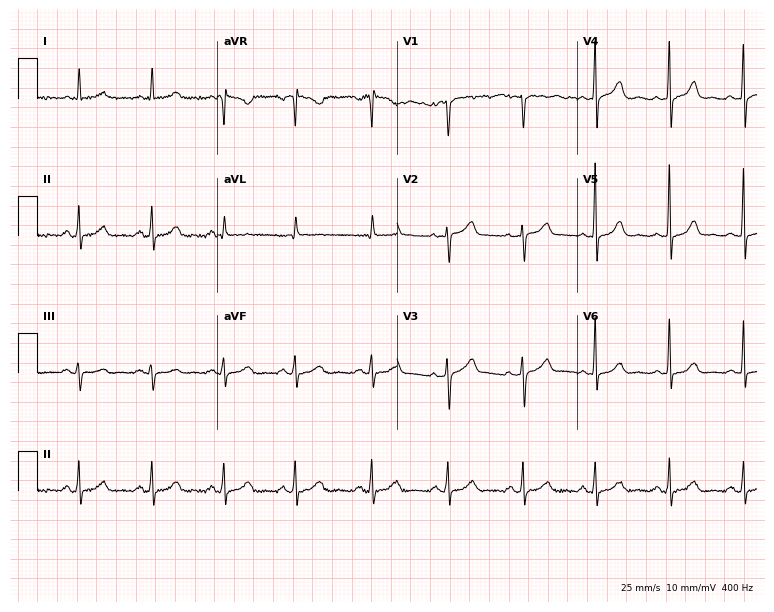
Electrocardiogram (7.3-second recording at 400 Hz), a 63-year-old woman. Of the six screened findings (first-degree AV block, right bundle branch block, left bundle branch block, sinus bradycardia, atrial fibrillation, sinus tachycardia), none is recorded.